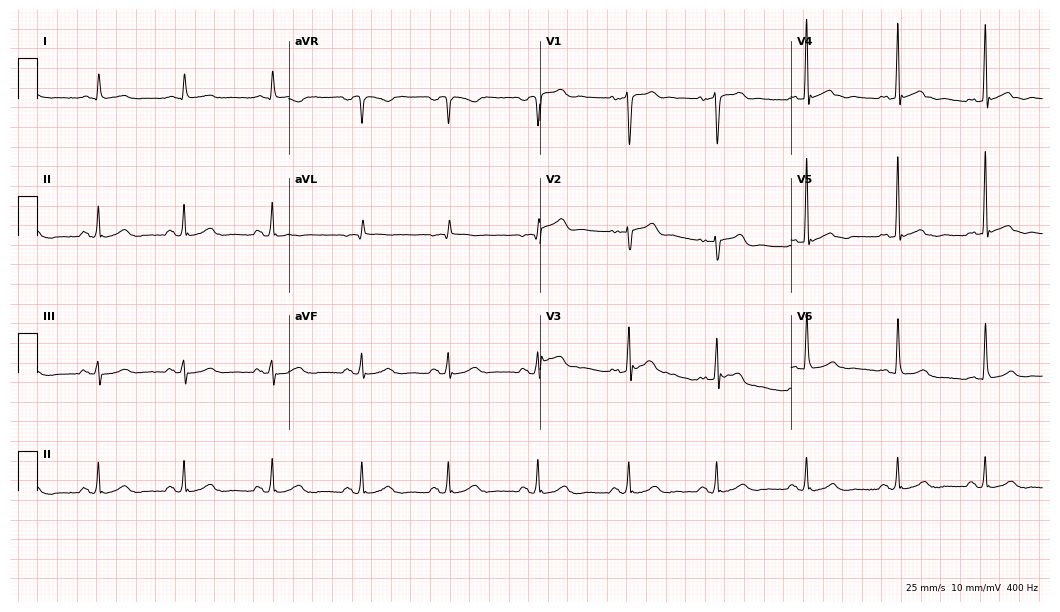
12-lead ECG from a male, 57 years old. Labelled as a normal ECG.